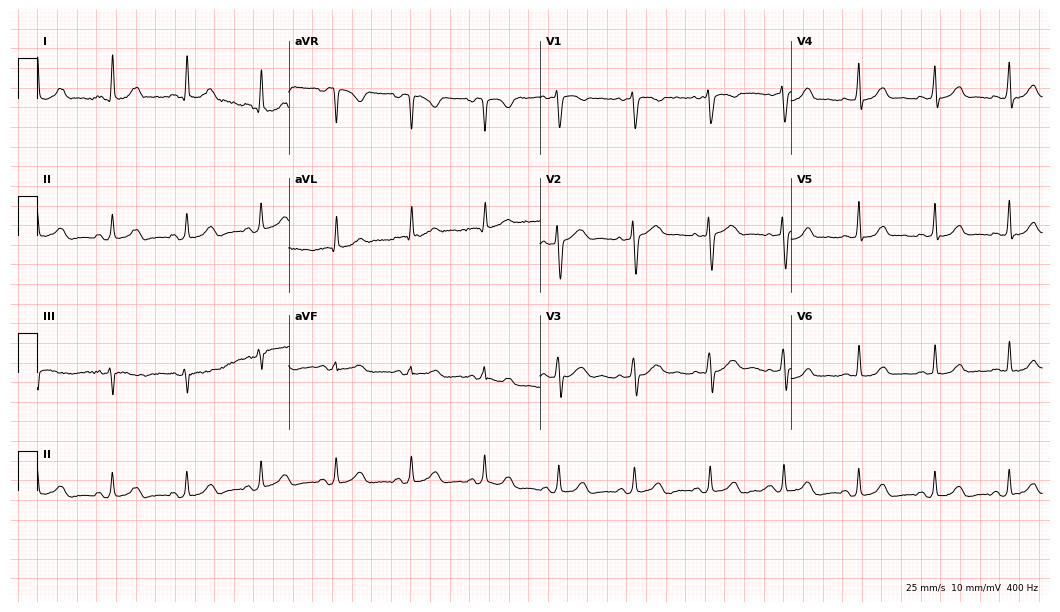
12-lead ECG from a woman, 37 years old (10.2-second recording at 400 Hz). Recorded interpretation: within normal limits.